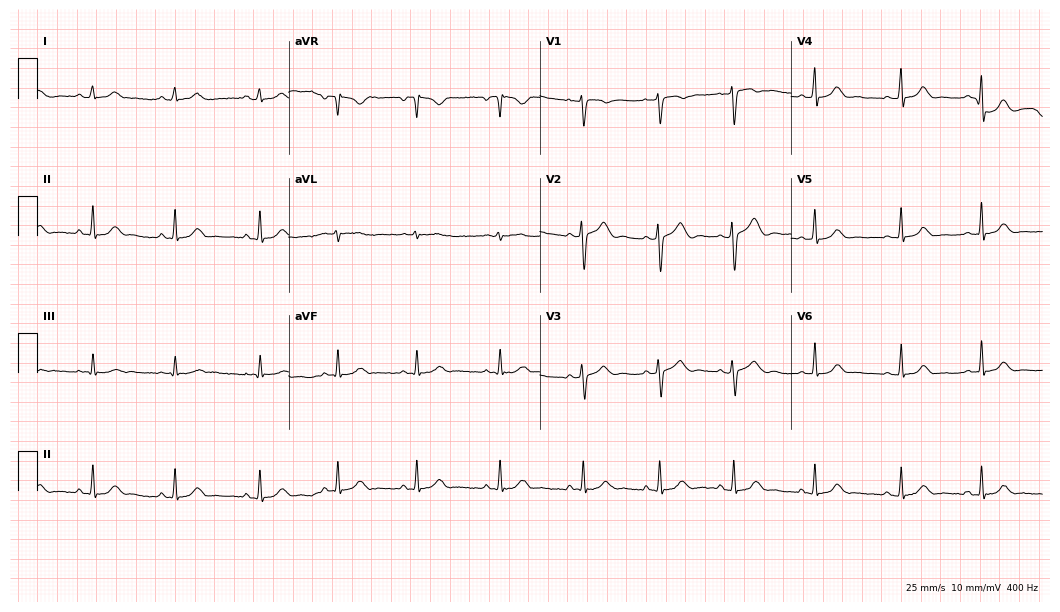
Standard 12-lead ECG recorded from a 41-year-old woman. None of these six findings is recorded: first-degree AV block, right bundle branch block, left bundle branch block, sinus bradycardia, atrial fibrillation, sinus tachycardia.